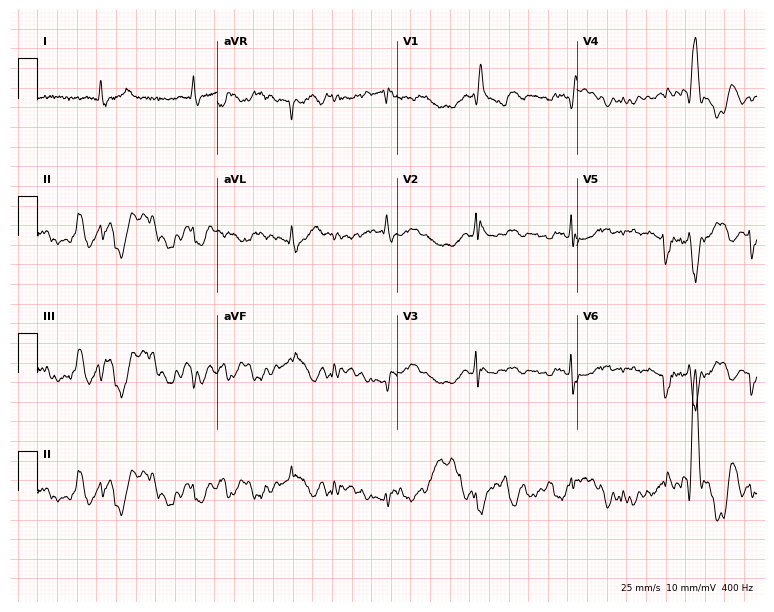
Standard 12-lead ECG recorded from a 25-year-old woman (7.3-second recording at 400 Hz). None of these six findings is recorded: first-degree AV block, right bundle branch block, left bundle branch block, sinus bradycardia, atrial fibrillation, sinus tachycardia.